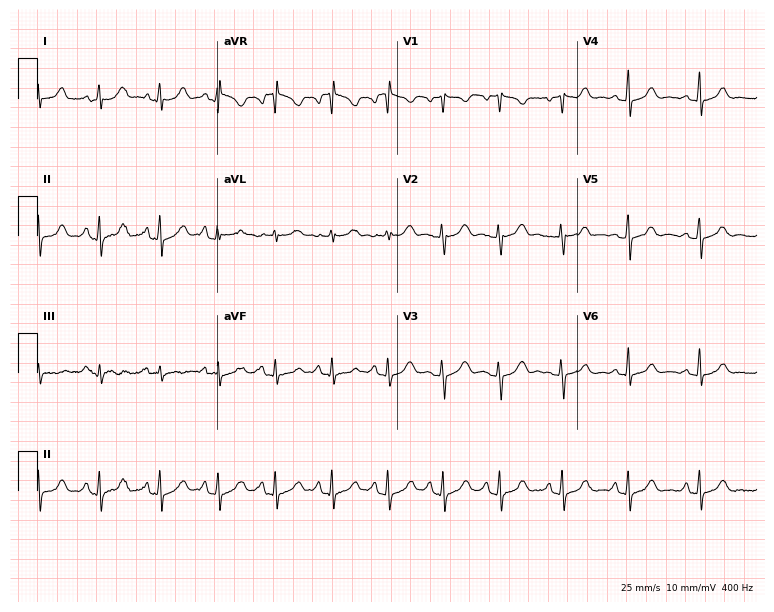
12-lead ECG from a female, 20 years old. No first-degree AV block, right bundle branch block, left bundle branch block, sinus bradycardia, atrial fibrillation or sinus tachycardia recorded for this tracing. Findings outside these six are not listed.